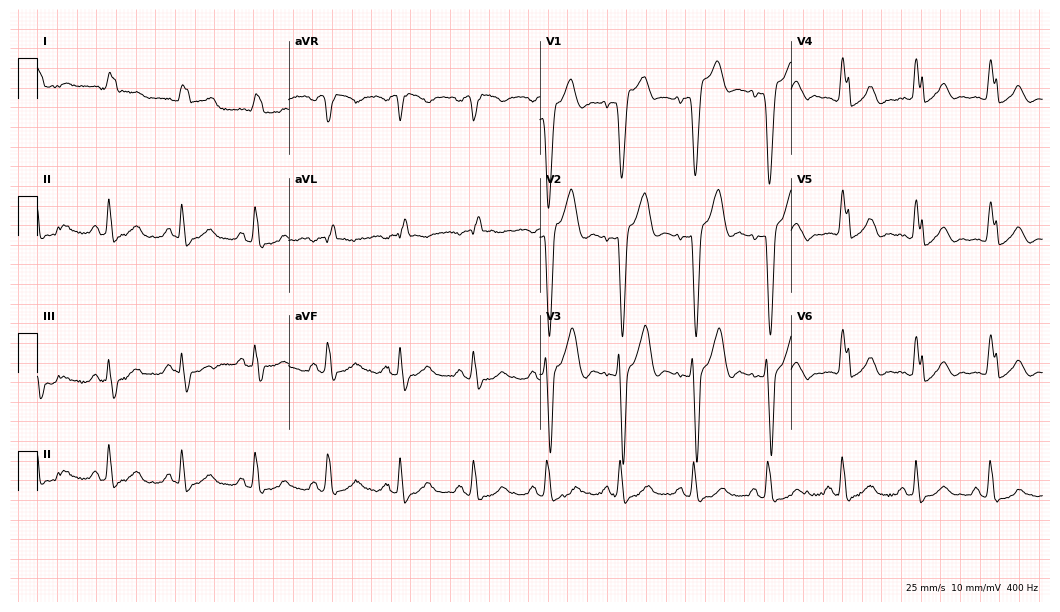
Resting 12-lead electrocardiogram. Patient: a man, 78 years old. The tracing shows left bundle branch block.